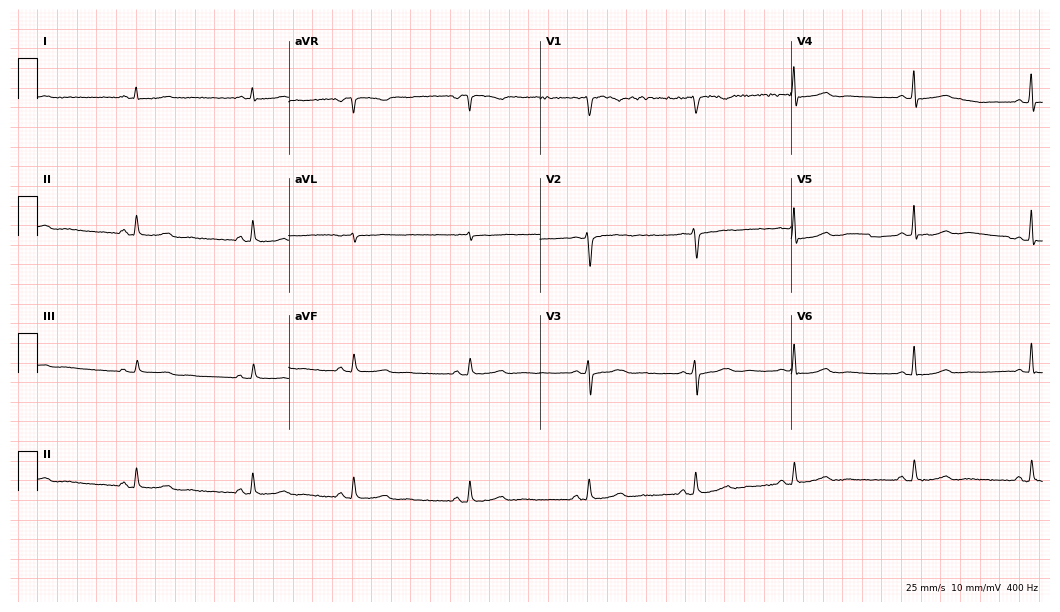
Resting 12-lead electrocardiogram (10.2-second recording at 400 Hz). Patient: a 42-year-old woman. Read as a normal ECG.